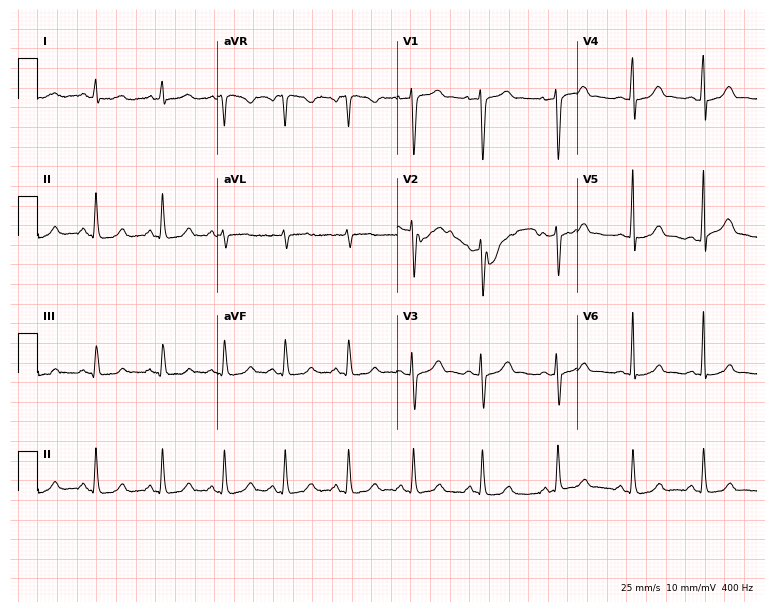
ECG (7.3-second recording at 400 Hz) — a 28-year-old female. Screened for six findings — first-degree AV block, right bundle branch block (RBBB), left bundle branch block (LBBB), sinus bradycardia, atrial fibrillation (AF), sinus tachycardia — none is recorded. Other findings, if any, are not listed.